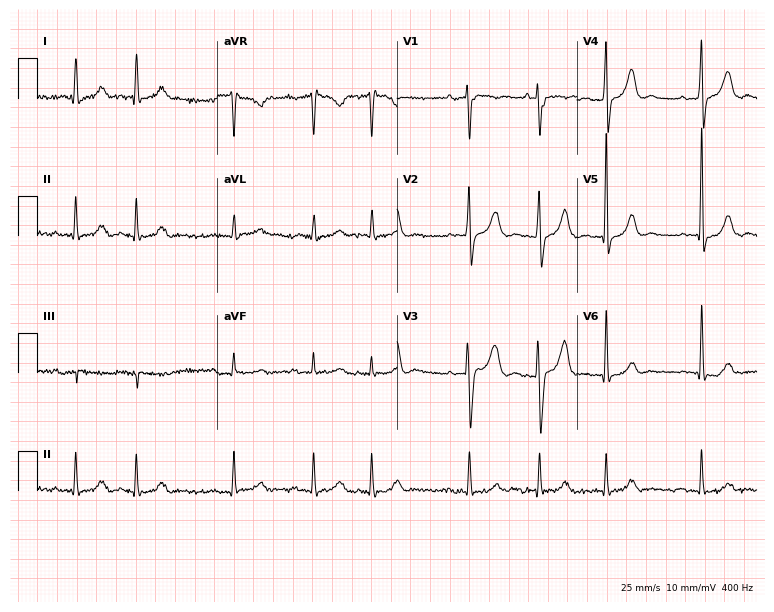
12-lead ECG (7.3-second recording at 400 Hz) from an 80-year-old male. Screened for six findings — first-degree AV block, right bundle branch block, left bundle branch block, sinus bradycardia, atrial fibrillation, sinus tachycardia — none is recorded.